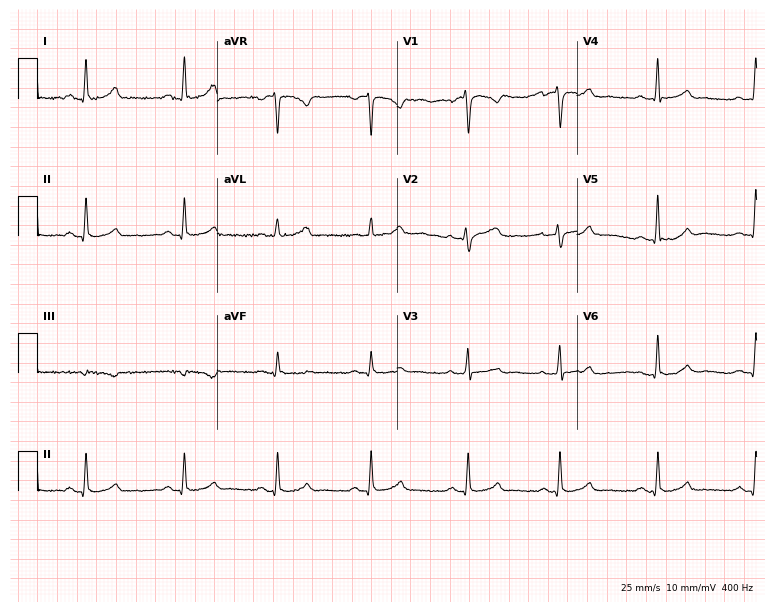
12-lead ECG from a female patient, 39 years old (7.3-second recording at 400 Hz). Recorded interpretation: within normal limits.